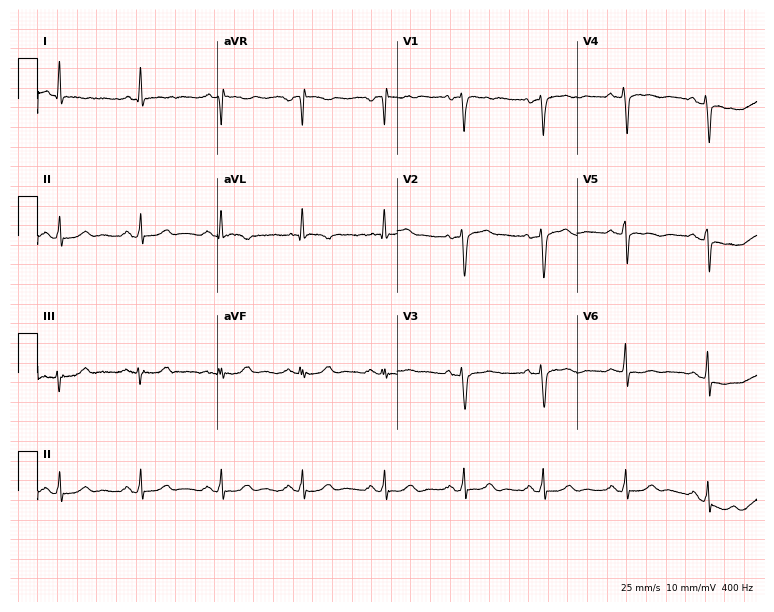
Resting 12-lead electrocardiogram. Patient: a 55-year-old female. Read as a normal ECG.